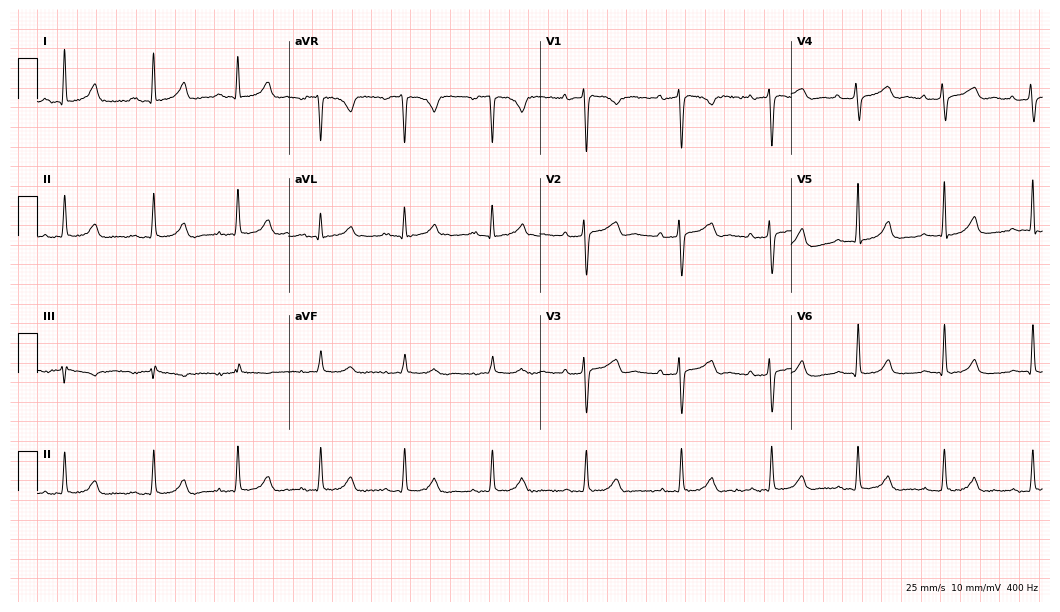
Standard 12-lead ECG recorded from a woman, 41 years old. None of these six findings is recorded: first-degree AV block, right bundle branch block, left bundle branch block, sinus bradycardia, atrial fibrillation, sinus tachycardia.